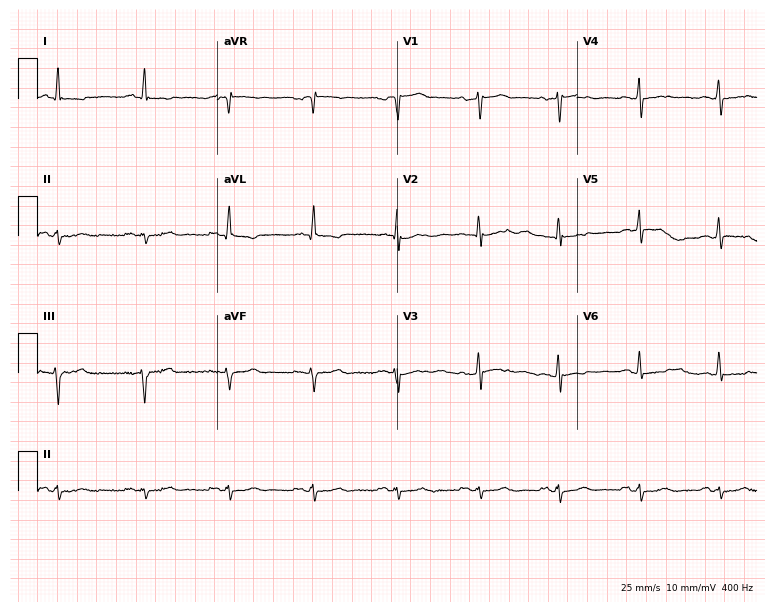
12-lead ECG from a male, 65 years old. Screened for six findings — first-degree AV block, right bundle branch block, left bundle branch block, sinus bradycardia, atrial fibrillation, sinus tachycardia — none is recorded.